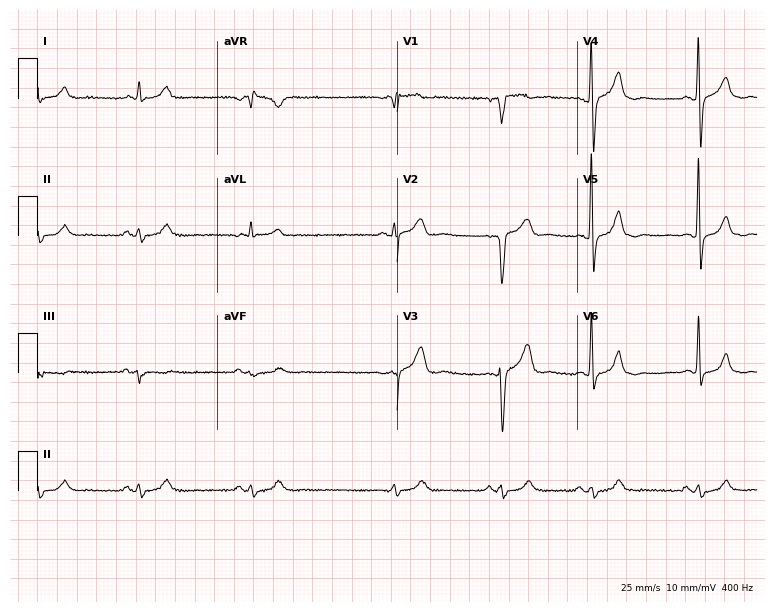
Resting 12-lead electrocardiogram (7.3-second recording at 400 Hz). Patient: a 69-year-old male. None of these six findings is recorded: first-degree AV block, right bundle branch block, left bundle branch block, sinus bradycardia, atrial fibrillation, sinus tachycardia.